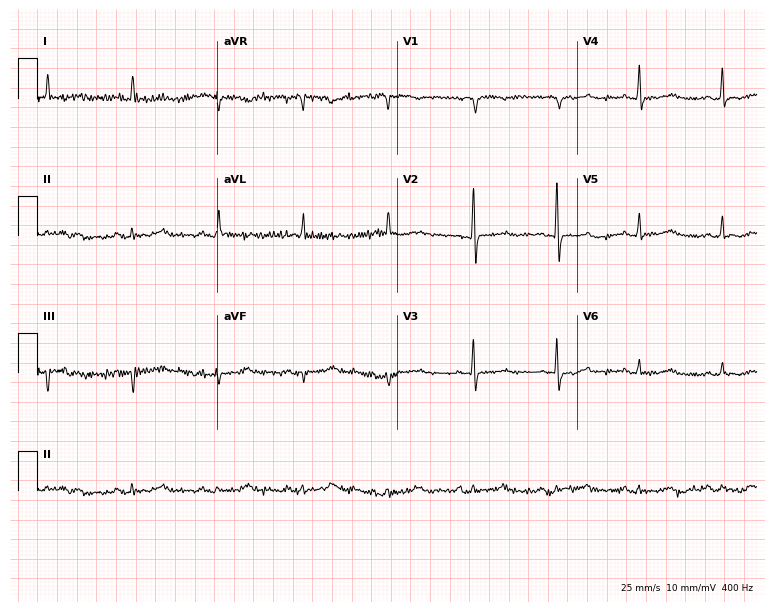
12-lead ECG (7.3-second recording at 400 Hz) from a woman, 70 years old. Labelled as a normal ECG.